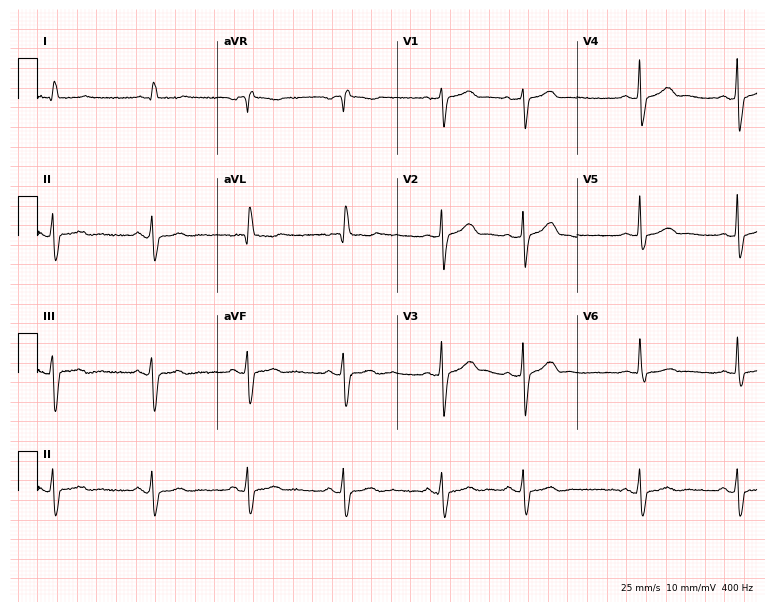
12-lead ECG from a male, 88 years old (7.3-second recording at 400 Hz). No first-degree AV block, right bundle branch block, left bundle branch block, sinus bradycardia, atrial fibrillation or sinus tachycardia recorded for this tracing.